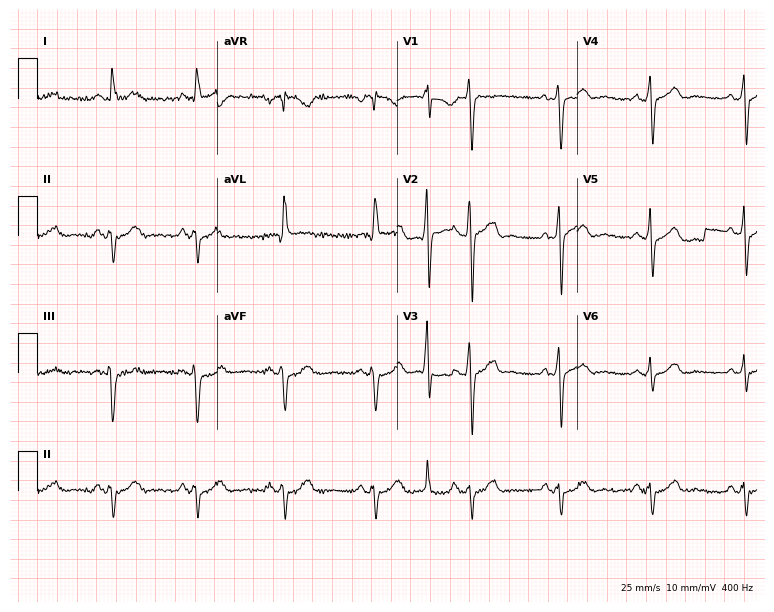
12-lead ECG from a 68-year-old man. Screened for six findings — first-degree AV block, right bundle branch block (RBBB), left bundle branch block (LBBB), sinus bradycardia, atrial fibrillation (AF), sinus tachycardia — none is recorded. Only these six findings were labelled.